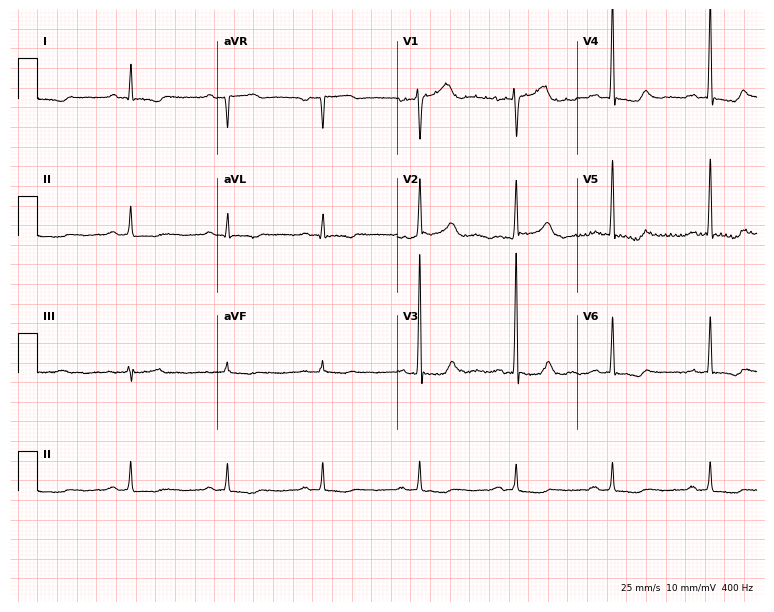
Resting 12-lead electrocardiogram (7.3-second recording at 400 Hz). Patient: a male, 65 years old. None of these six findings is recorded: first-degree AV block, right bundle branch block (RBBB), left bundle branch block (LBBB), sinus bradycardia, atrial fibrillation (AF), sinus tachycardia.